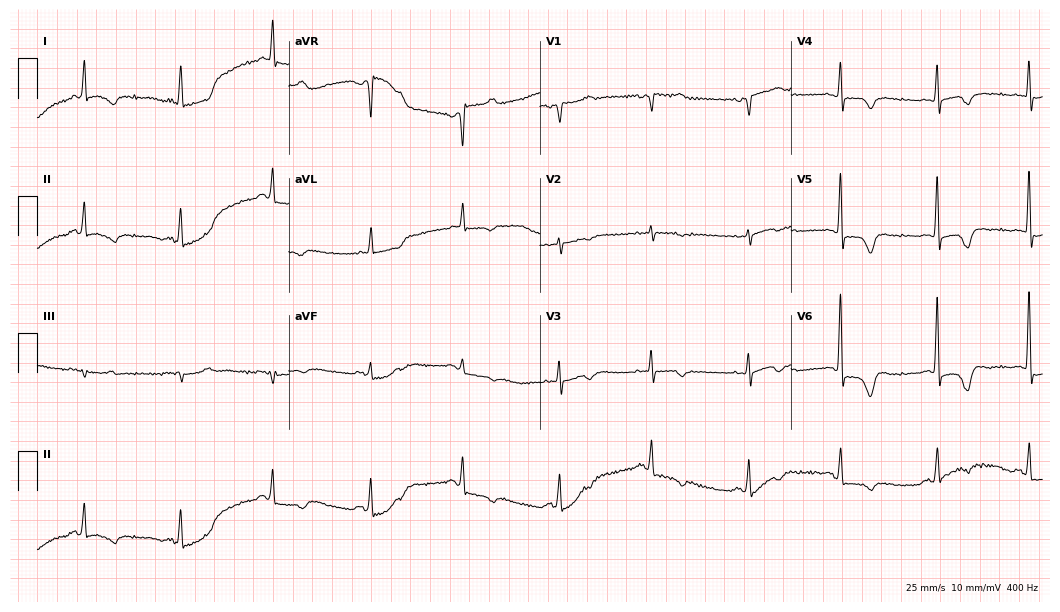
Electrocardiogram, a 75-year-old male. Of the six screened findings (first-degree AV block, right bundle branch block (RBBB), left bundle branch block (LBBB), sinus bradycardia, atrial fibrillation (AF), sinus tachycardia), none is recorded.